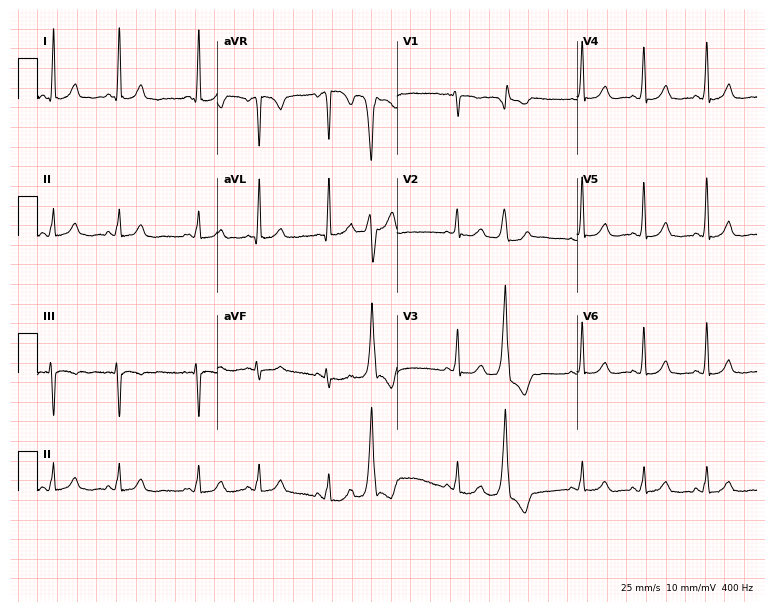
ECG — a woman, 64 years old. Screened for six findings — first-degree AV block, right bundle branch block (RBBB), left bundle branch block (LBBB), sinus bradycardia, atrial fibrillation (AF), sinus tachycardia — none is recorded.